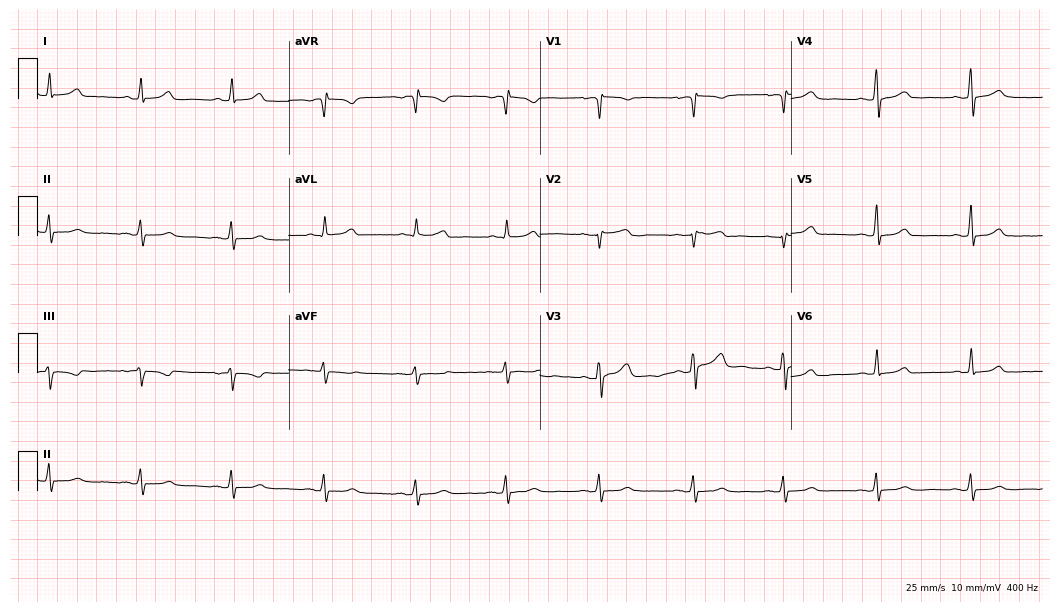
Electrocardiogram, a 39-year-old woman. Of the six screened findings (first-degree AV block, right bundle branch block, left bundle branch block, sinus bradycardia, atrial fibrillation, sinus tachycardia), none is recorded. Other findings, if any, are not listed.